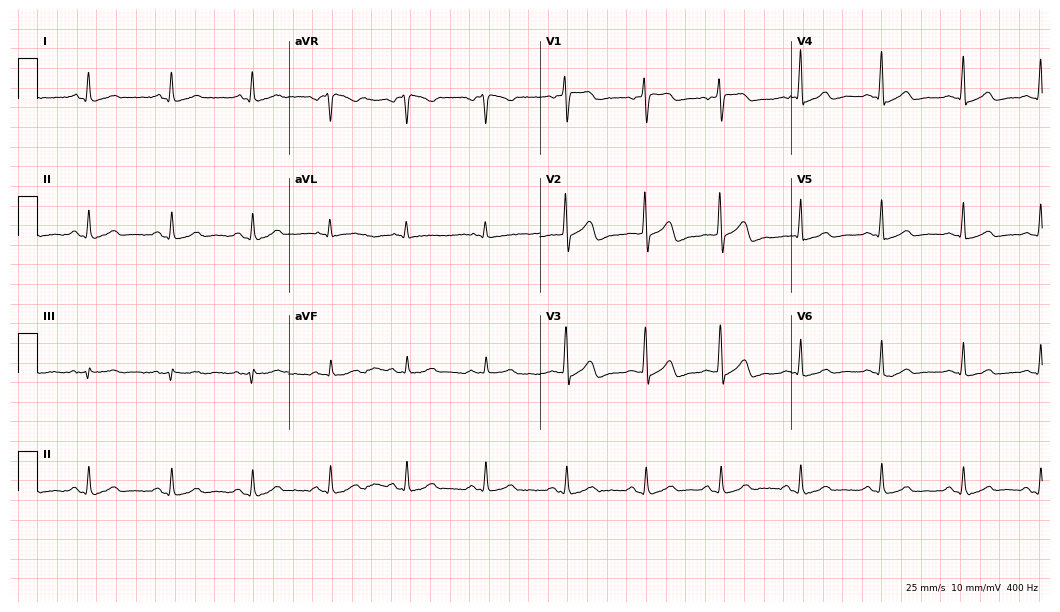
Electrocardiogram, an 80-year-old female patient. Overall reading on record: normal ECG.